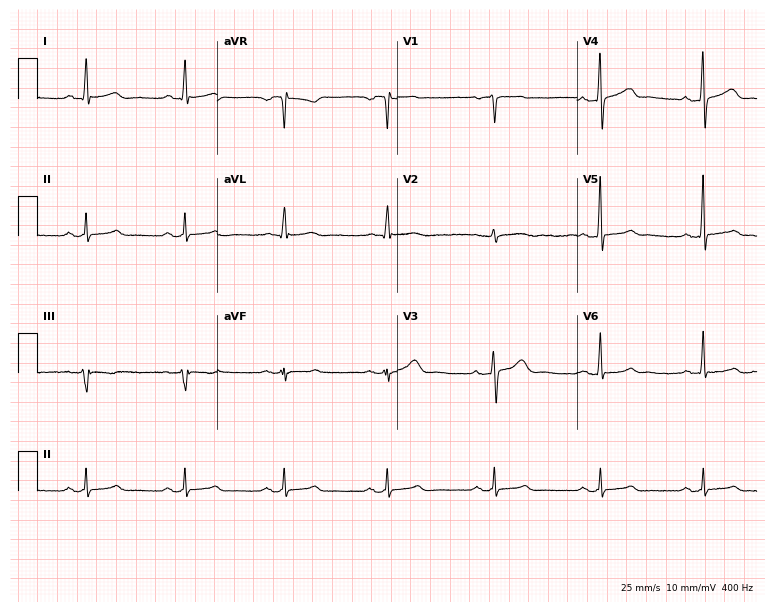
Electrocardiogram (7.3-second recording at 400 Hz), a 57-year-old male patient. Of the six screened findings (first-degree AV block, right bundle branch block, left bundle branch block, sinus bradycardia, atrial fibrillation, sinus tachycardia), none is recorded. Other findings, if any, are not listed.